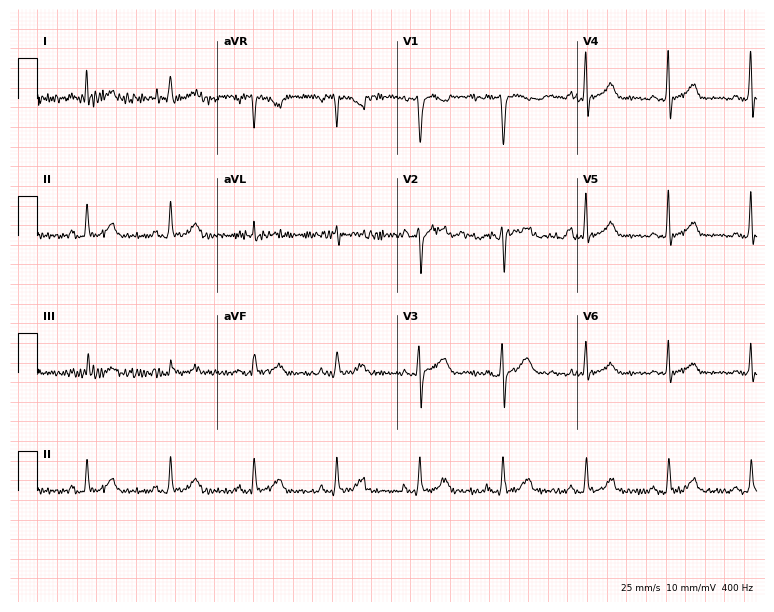
Electrocardiogram (7.3-second recording at 400 Hz), a female, 53 years old. Of the six screened findings (first-degree AV block, right bundle branch block, left bundle branch block, sinus bradycardia, atrial fibrillation, sinus tachycardia), none is recorded.